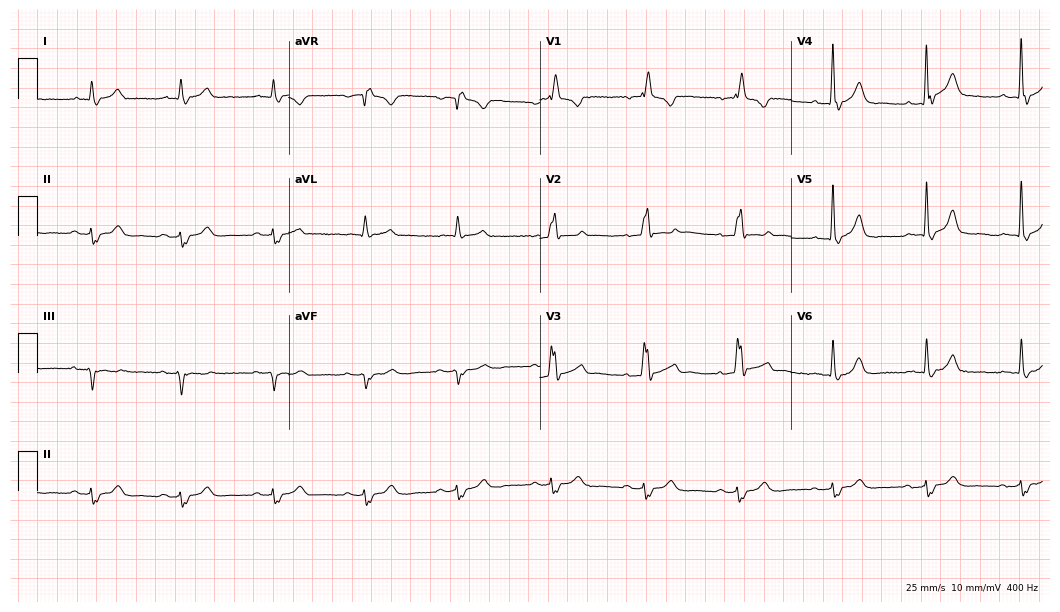
ECG — a male, 84 years old. Findings include right bundle branch block (RBBB).